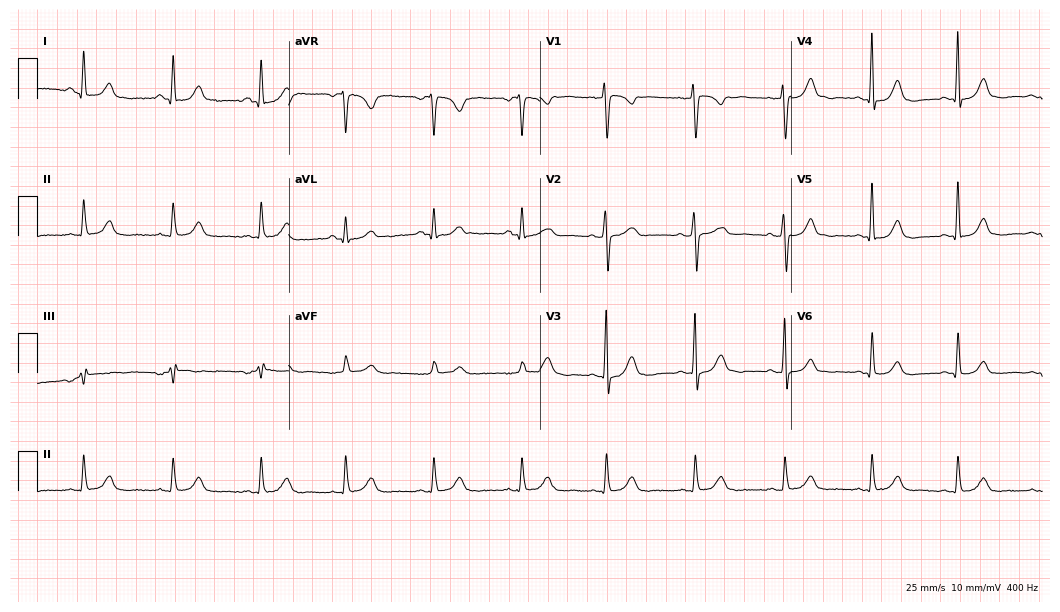
Standard 12-lead ECG recorded from a woman, 37 years old. Read as a normal ECG.